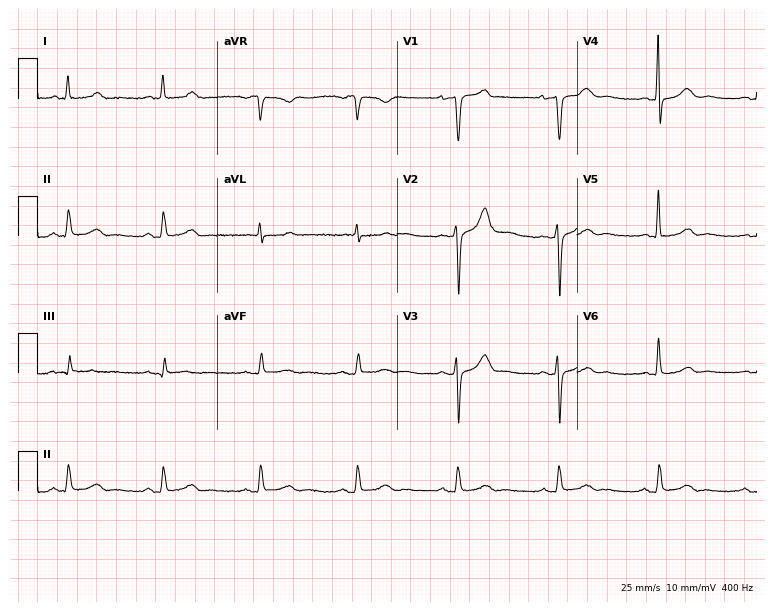
12-lead ECG (7.3-second recording at 400 Hz) from a male, 63 years old. Screened for six findings — first-degree AV block, right bundle branch block, left bundle branch block, sinus bradycardia, atrial fibrillation, sinus tachycardia — none is recorded. Only these six findings were labelled.